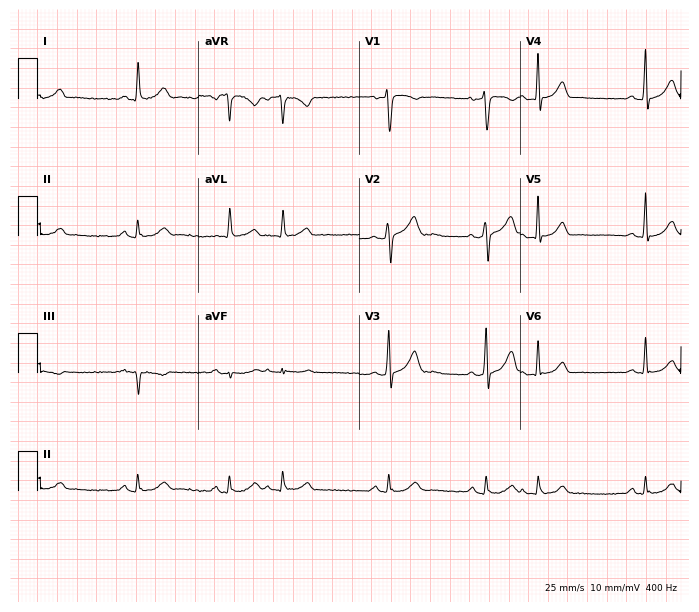
ECG — a female, 55 years old. Screened for six findings — first-degree AV block, right bundle branch block, left bundle branch block, sinus bradycardia, atrial fibrillation, sinus tachycardia — none is recorded. Findings outside these six are not listed.